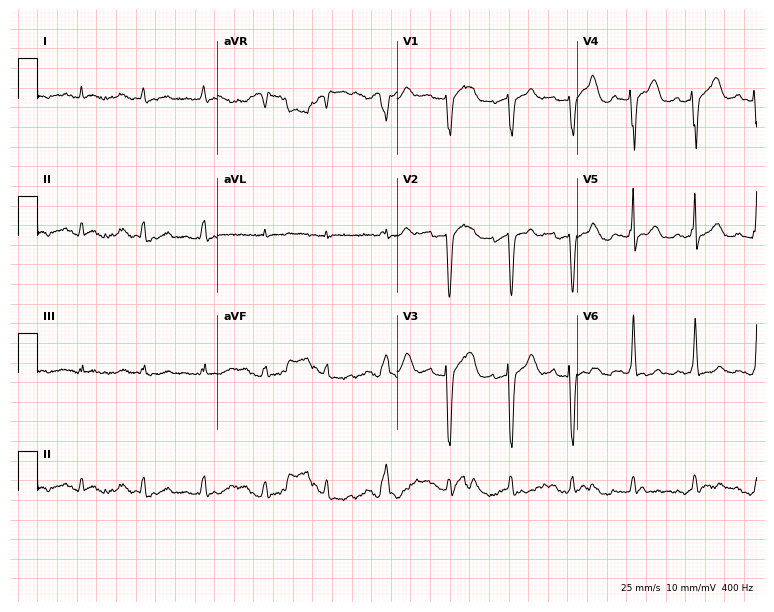
Resting 12-lead electrocardiogram. Patient: a female, 78 years old. None of these six findings is recorded: first-degree AV block, right bundle branch block, left bundle branch block, sinus bradycardia, atrial fibrillation, sinus tachycardia. Findings outside these six are not listed.